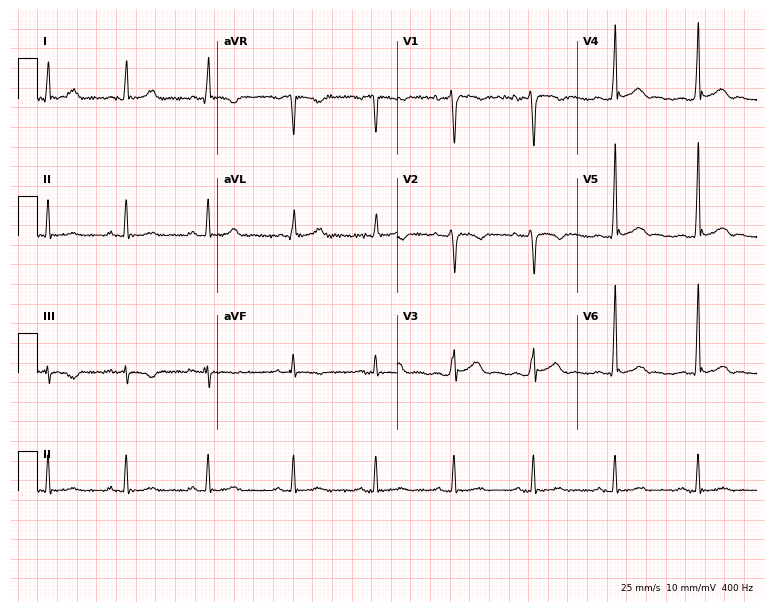
12-lead ECG from a 25-year-old male. Screened for six findings — first-degree AV block, right bundle branch block, left bundle branch block, sinus bradycardia, atrial fibrillation, sinus tachycardia — none is recorded. Only these six findings were labelled.